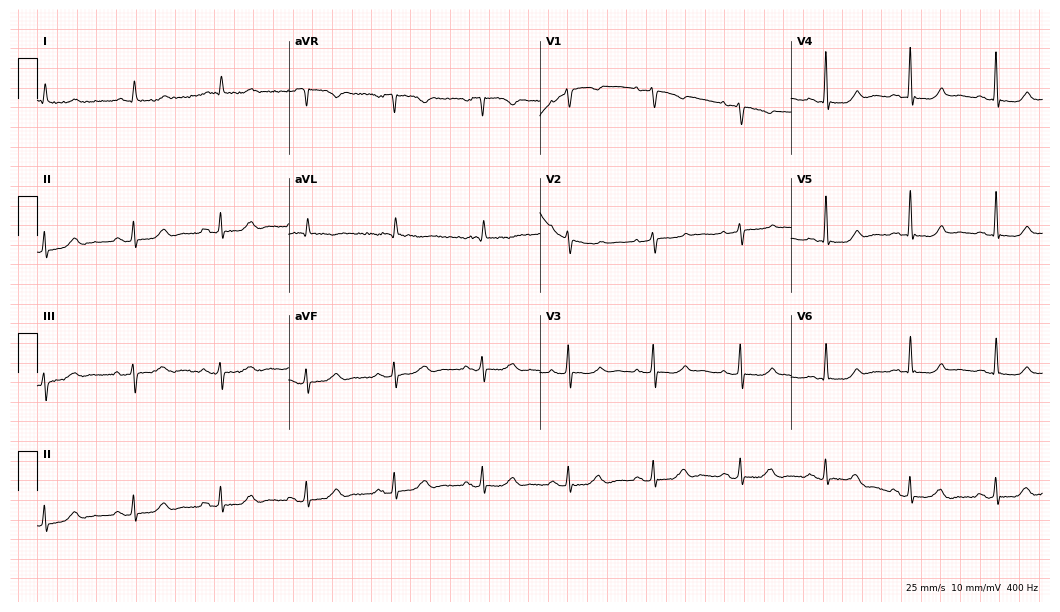
Standard 12-lead ECG recorded from a female, 74 years old (10.2-second recording at 400 Hz). Read as a normal ECG.